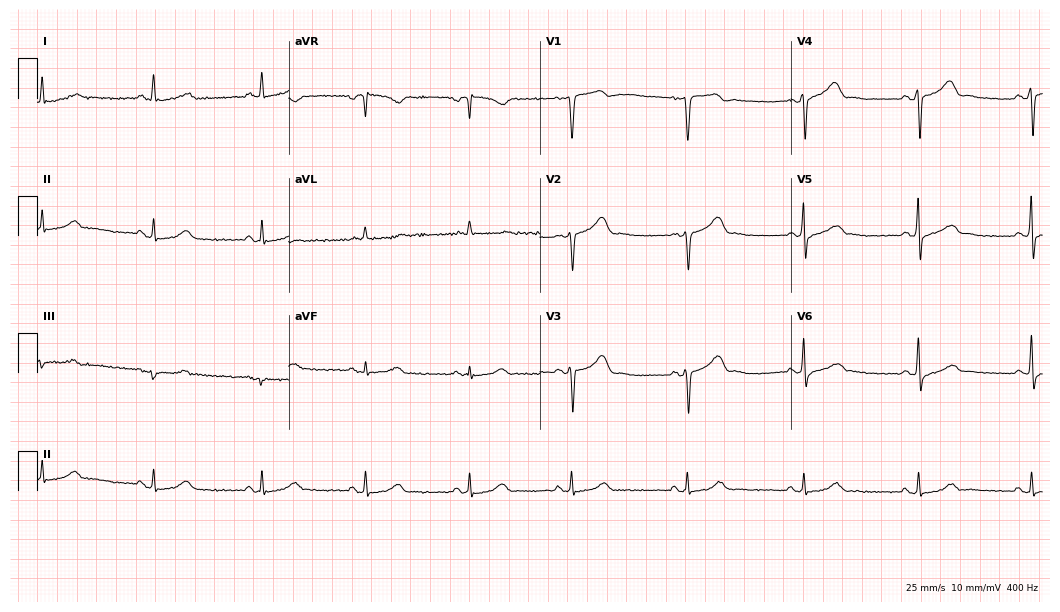
12-lead ECG from a 58-year-old male patient (10.2-second recording at 400 Hz). No first-degree AV block, right bundle branch block, left bundle branch block, sinus bradycardia, atrial fibrillation or sinus tachycardia recorded for this tracing.